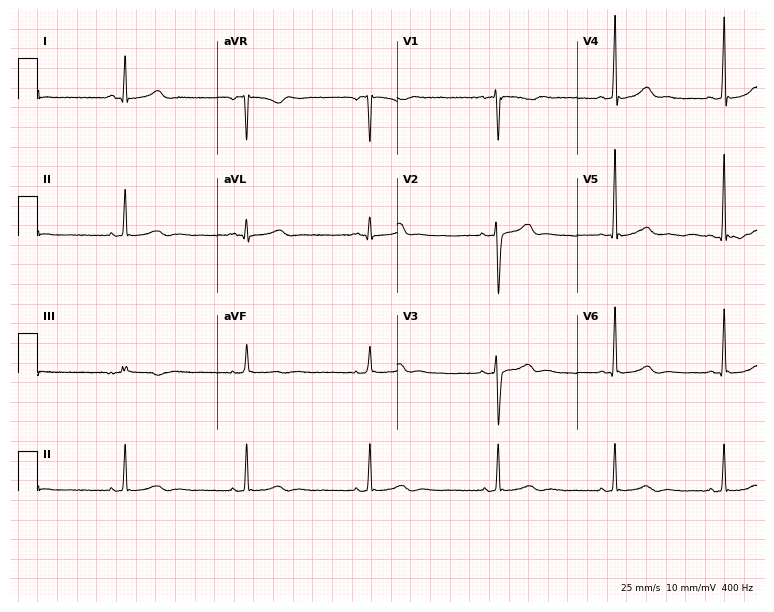
Standard 12-lead ECG recorded from a woman, 27 years old. None of these six findings is recorded: first-degree AV block, right bundle branch block, left bundle branch block, sinus bradycardia, atrial fibrillation, sinus tachycardia. Findings outside these six are not listed.